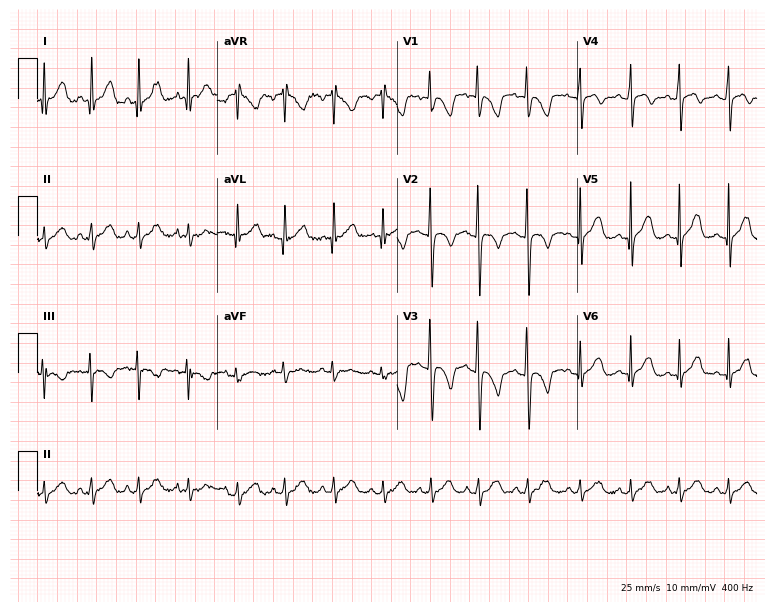
Resting 12-lead electrocardiogram. Patient: a 36-year-old male. None of these six findings is recorded: first-degree AV block, right bundle branch block (RBBB), left bundle branch block (LBBB), sinus bradycardia, atrial fibrillation (AF), sinus tachycardia. Findings outside these six are not listed.